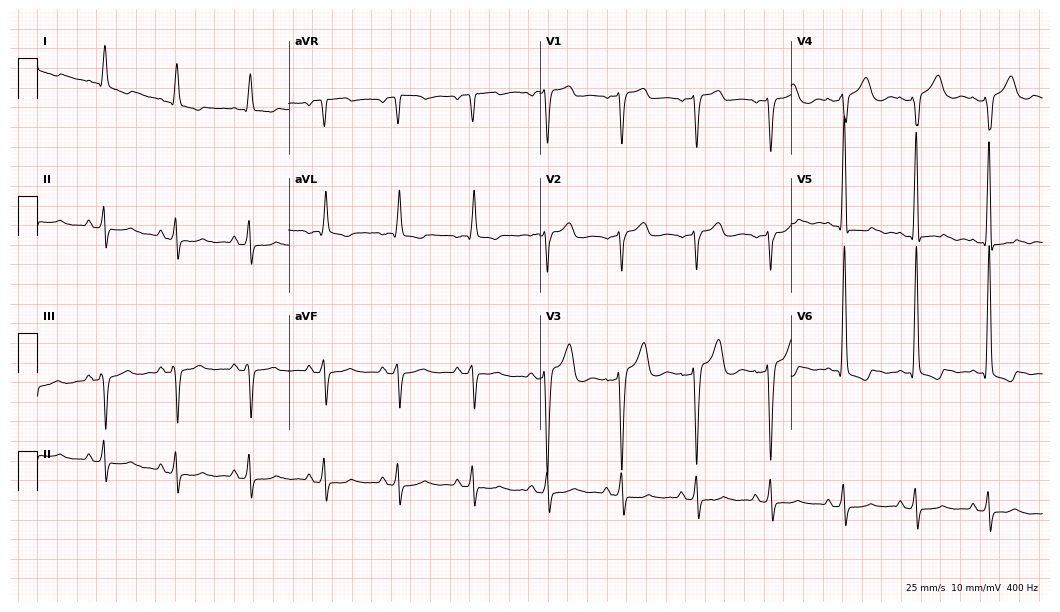
Standard 12-lead ECG recorded from a female, 77 years old (10.2-second recording at 400 Hz). None of these six findings is recorded: first-degree AV block, right bundle branch block, left bundle branch block, sinus bradycardia, atrial fibrillation, sinus tachycardia. Other findings, if any, are not listed.